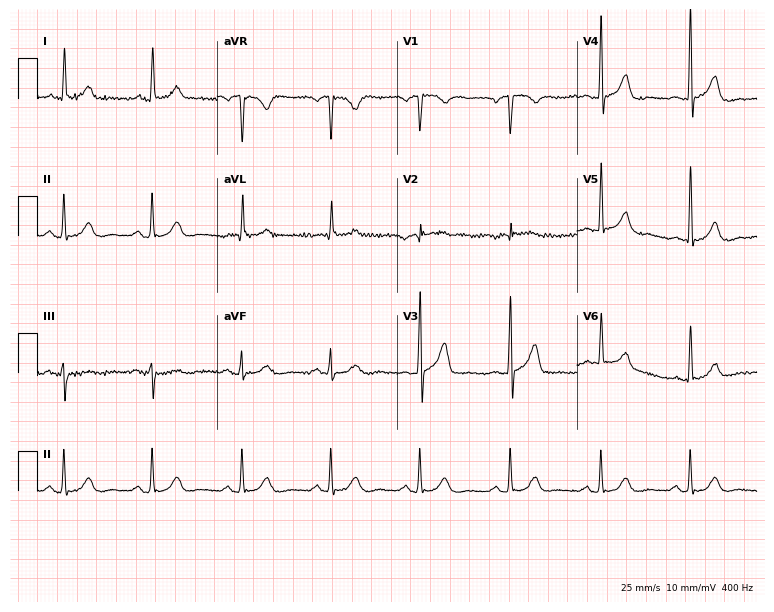
Standard 12-lead ECG recorded from a man, 70 years old (7.3-second recording at 400 Hz). Read as a normal ECG.